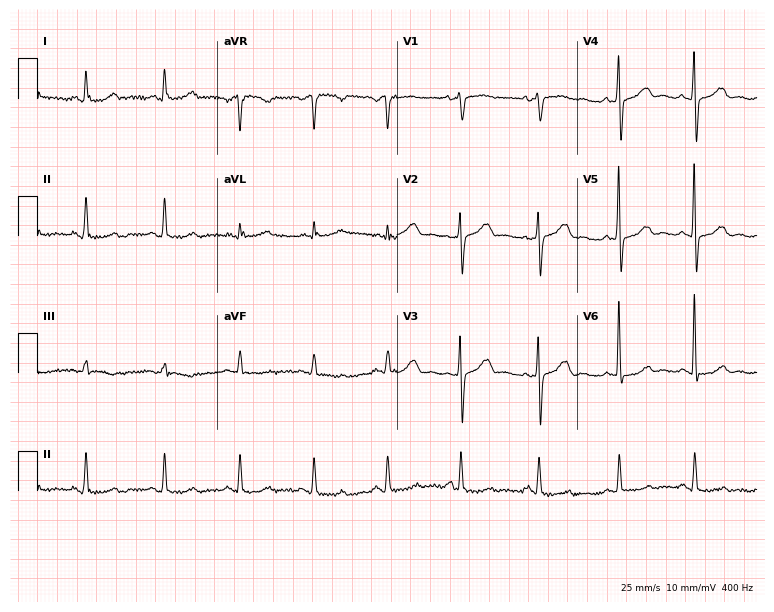
ECG (7.3-second recording at 400 Hz) — a 55-year-old female. Labelled as a normal ECG.